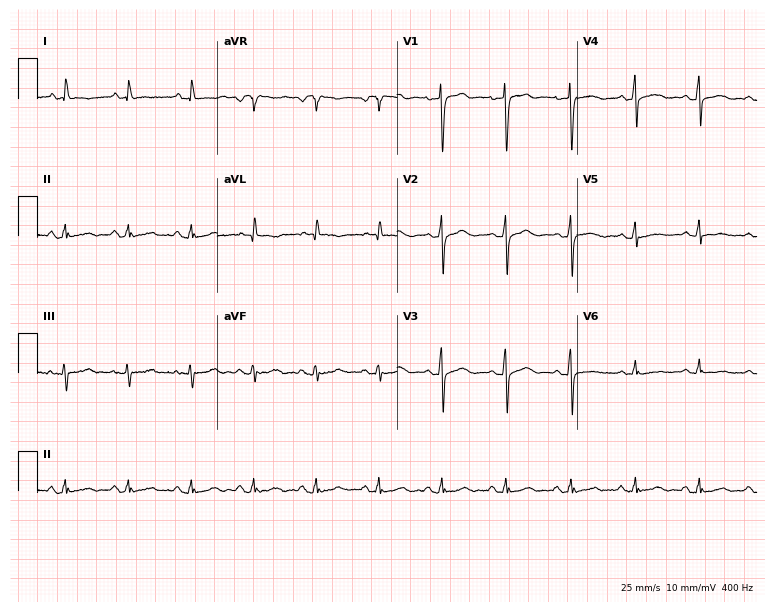
12-lead ECG from a 49-year-old man. Screened for six findings — first-degree AV block, right bundle branch block, left bundle branch block, sinus bradycardia, atrial fibrillation, sinus tachycardia — none is recorded. Other findings, if any, are not listed.